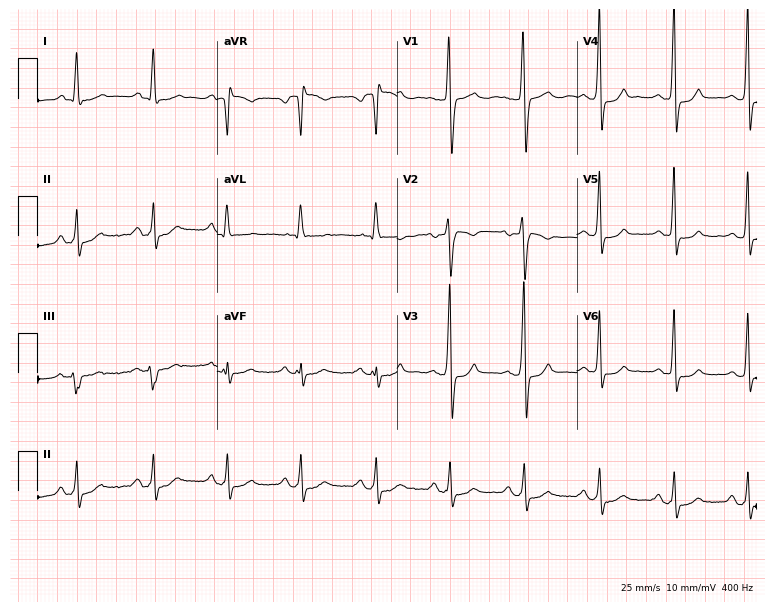
12-lead ECG from a 53-year-old woman. No first-degree AV block, right bundle branch block, left bundle branch block, sinus bradycardia, atrial fibrillation or sinus tachycardia recorded for this tracing.